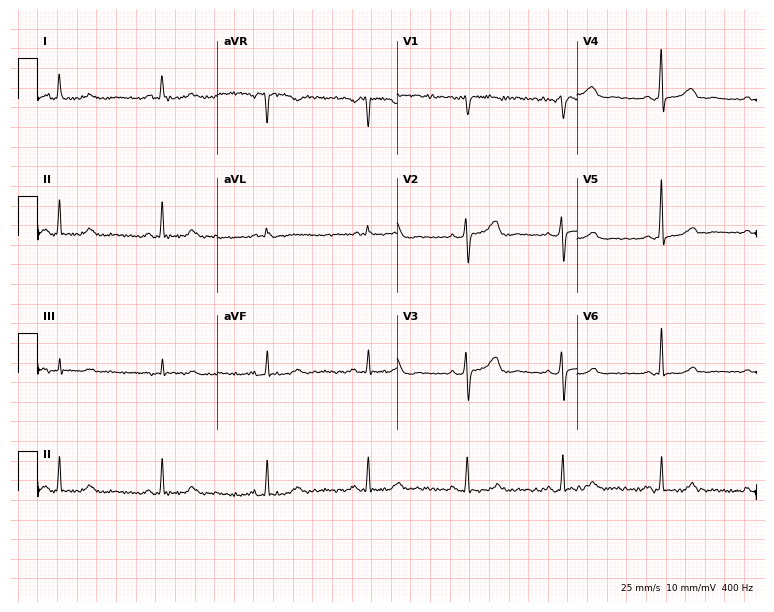
12-lead ECG from a female, 50 years old. No first-degree AV block, right bundle branch block, left bundle branch block, sinus bradycardia, atrial fibrillation or sinus tachycardia recorded for this tracing. Findings outside these six are not listed.